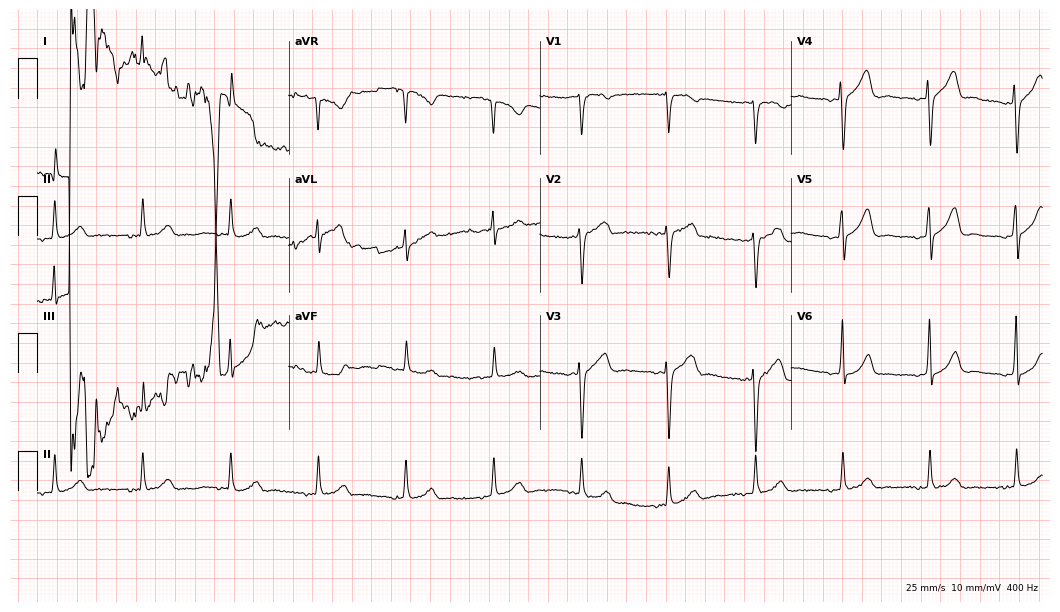
ECG — a male, 40 years old. Screened for six findings — first-degree AV block, right bundle branch block, left bundle branch block, sinus bradycardia, atrial fibrillation, sinus tachycardia — none is recorded. Only these six findings were labelled.